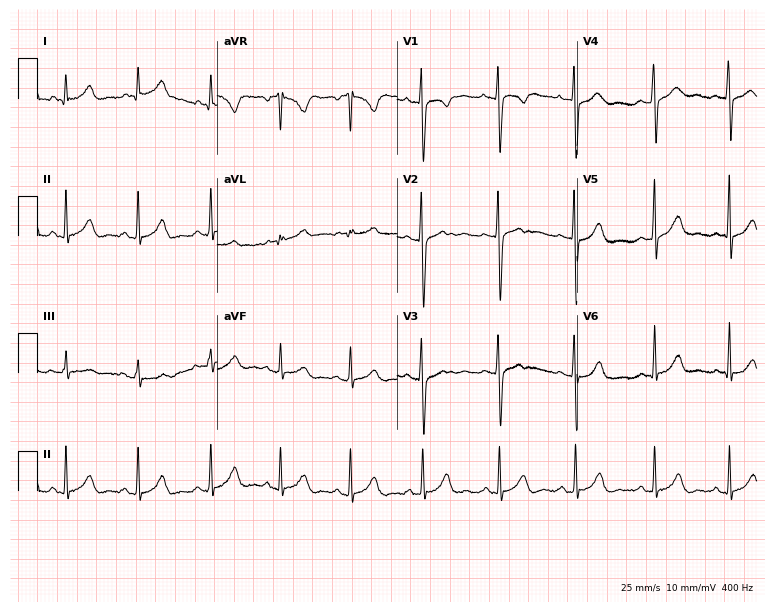
12-lead ECG from a 31-year-old female patient (7.3-second recording at 400 Hz). Recorded interpretation: within normal limits.